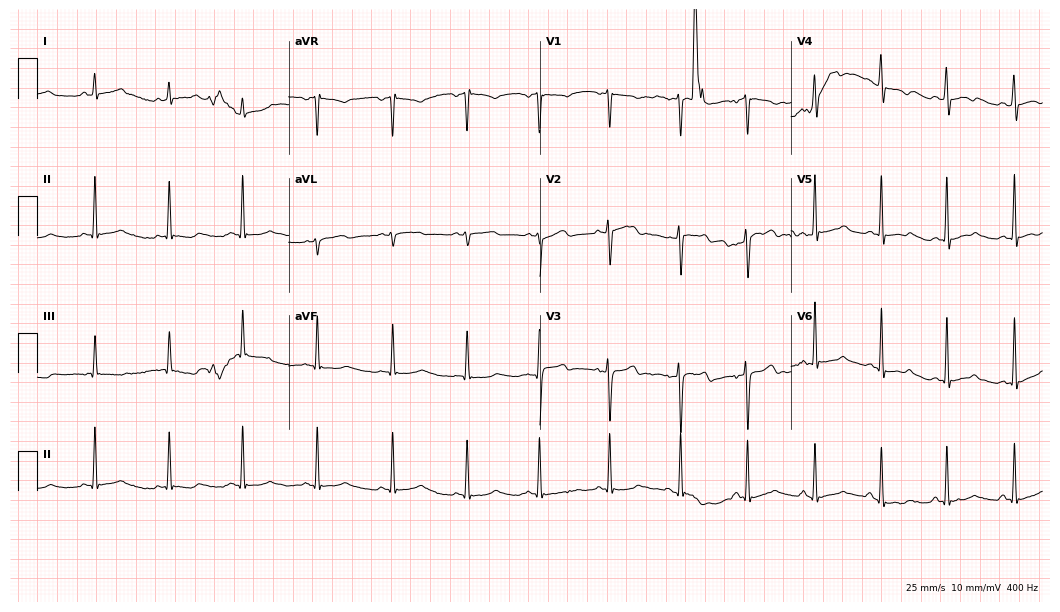
Electrocardiogram, a male patient, 20 years old. Of the six screened findings (first-degree AV block, right bundle branch block (RBBB), left bundle branch block (LBBB), sinus bradycardia, atrial fibrillation (AF), sinus tachycardia), none is recorded.